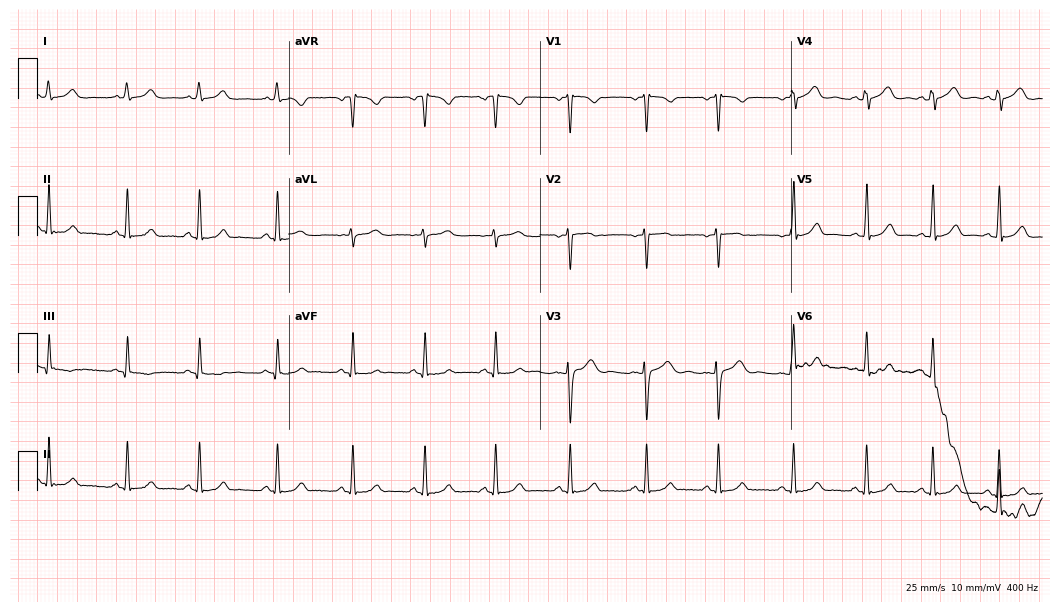
ECG (10.2-second recording at 400 Hz) — a female, 18 years old. Labelled as a normal ECG.